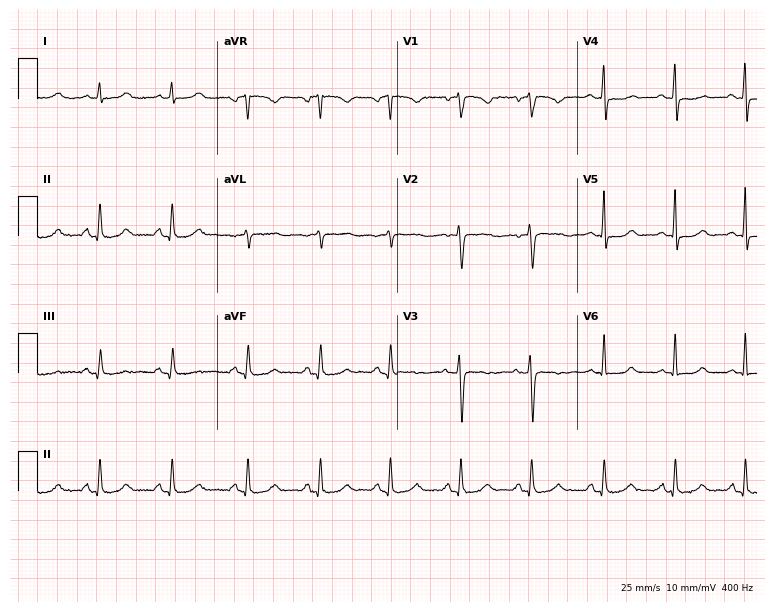
Resting 12-lead electrocardiogram. Patient: a female, 49 years old. None of these six findings is recorded: first-degree AV block, right bundle branch block, left bundle branch block, sinus bradycardia, atrial fibrillation, sinus tachycardia.